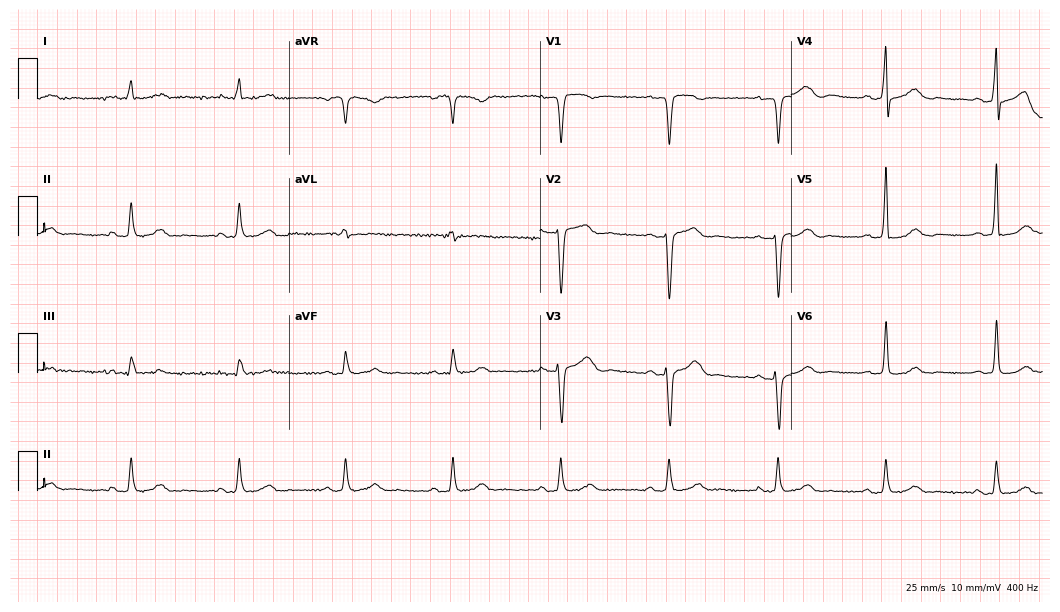
12-lead ECG from a man, 69 years old (10.2-second recording at 400 Hz). Recorded interpretation: within normal limits.